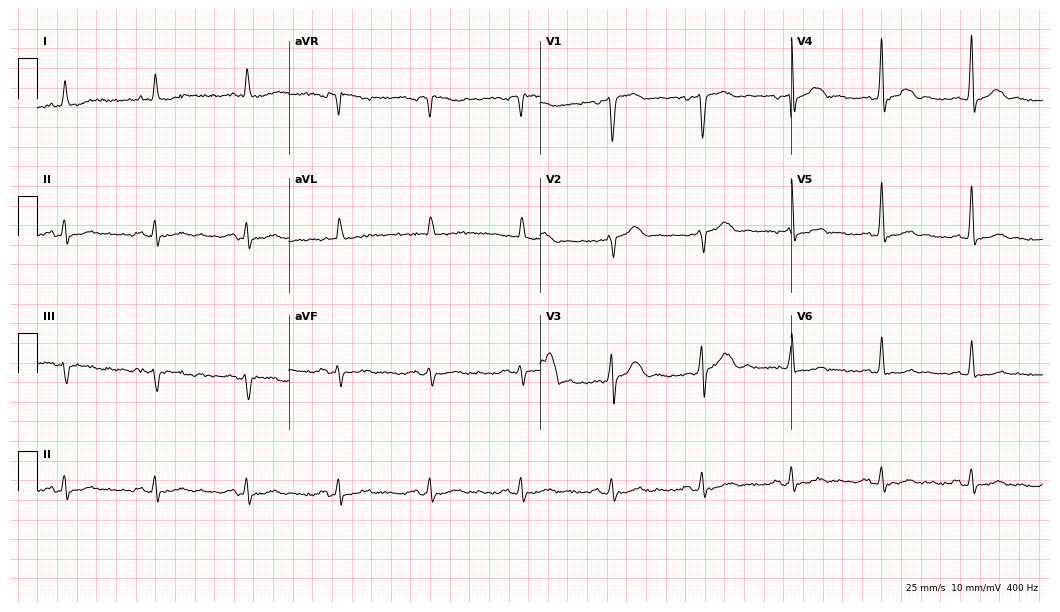
12-lead ECG from a male patient, 81 years old (10.2-second recording at 400 Hz). No first-degree AV block, right bundle branch block (RBBB), left bundle branch block (LBBB), sinus bradycardia, atrial fibrillation (AF) or sinus tachycardia recorded for this tracing.